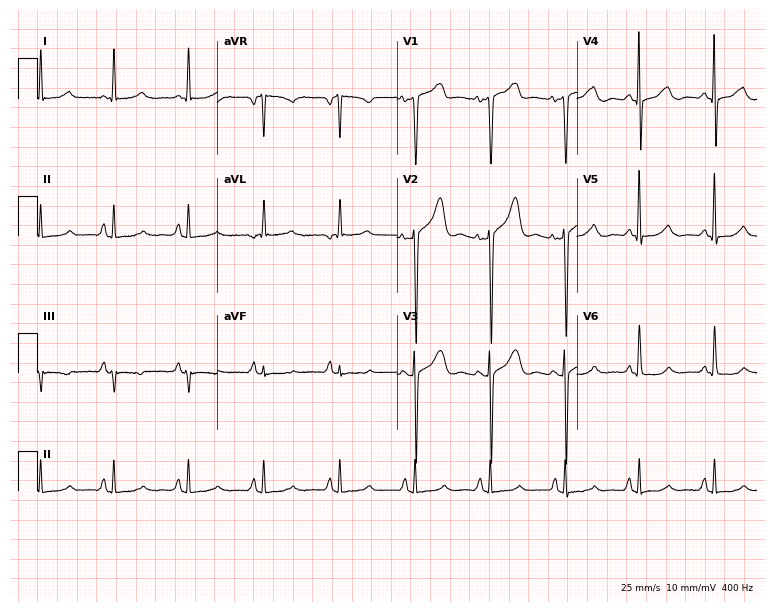
Electrocardiogram (7.3-second recording at 400 Hz), a 79-year-old female. Of the six screened findings (first-degree AV block, right bundle branch block, left bundle branch block, sinus bradycardia, atrial fibrillation, sinus tachycardia), none is recorded. Only these six findings were labelled.